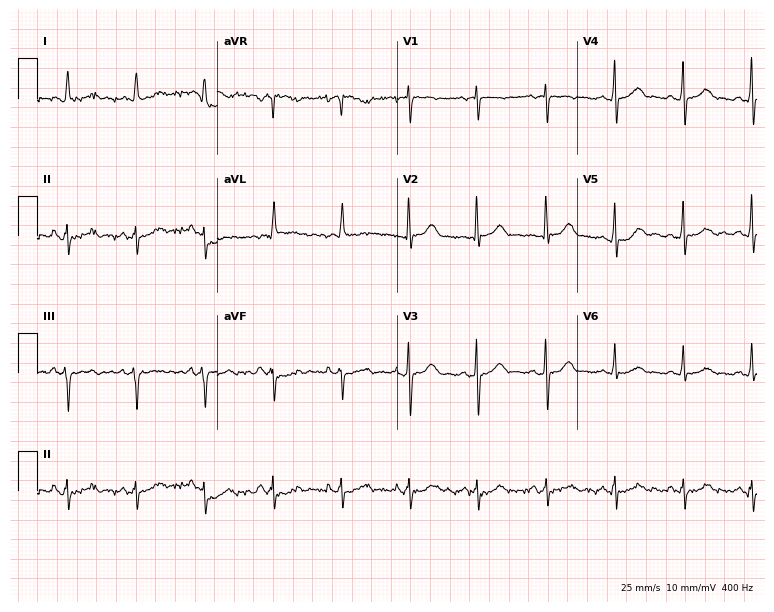
ECG (7.3-second recording at 400 Hz) — a female patient, 83 years old. Screened for six findings — first-degree AV block, right bundle branch block, left bundle branch block, sinus bradycardia, atrial fibrillation, sinus tachycardia — none is recorded. Findings outside these six are not listed.